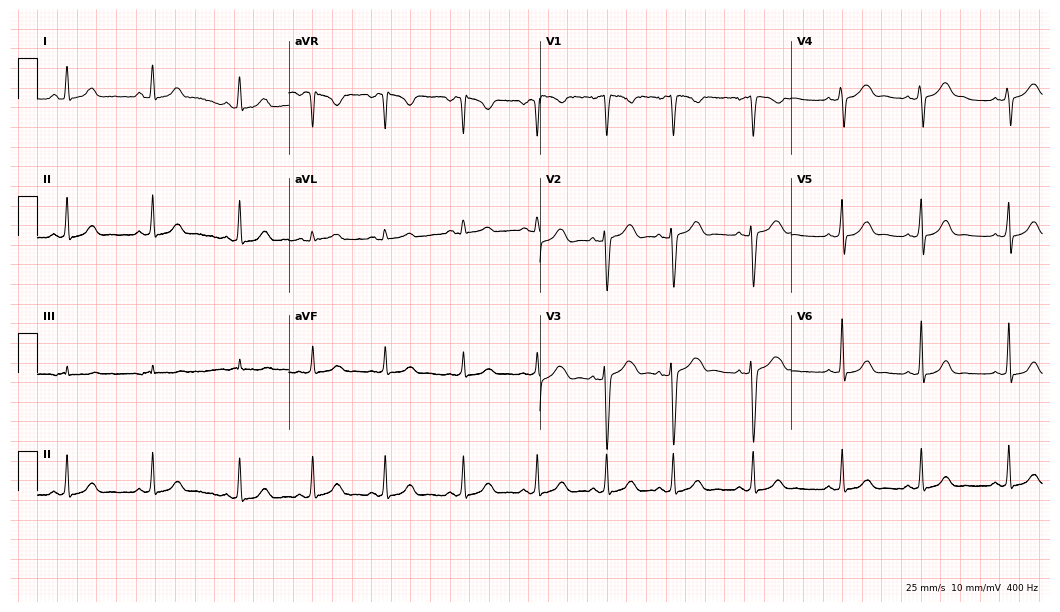
Electrocardiogram, a 29-year-old female patient. Overall reading on record: normal ECG.